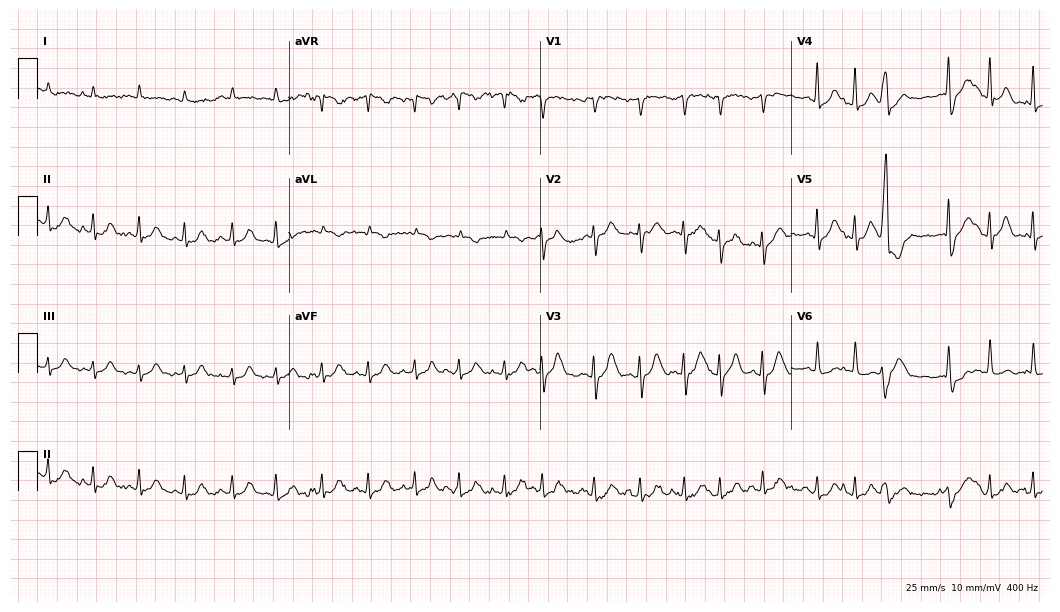
Resting 12-lead electrocardiogram. Patient: a female, 75 years old. The tracing shows sinus tachycardia (a sinus rate of 100 beats per minute or more).